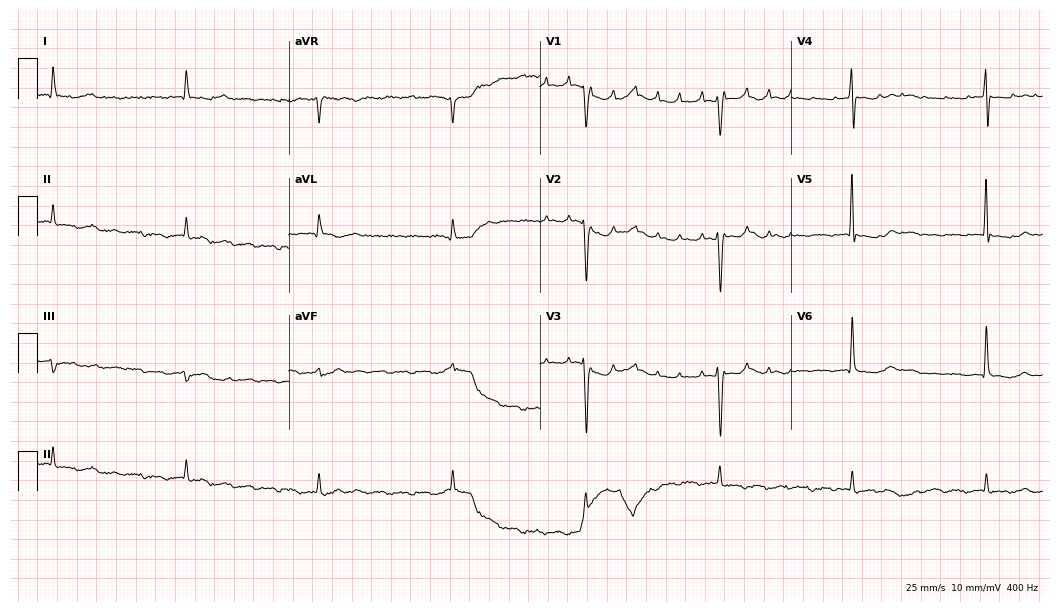
12-lead ECG from a male, 80 years old. Shows atrial fibrillation (AF).